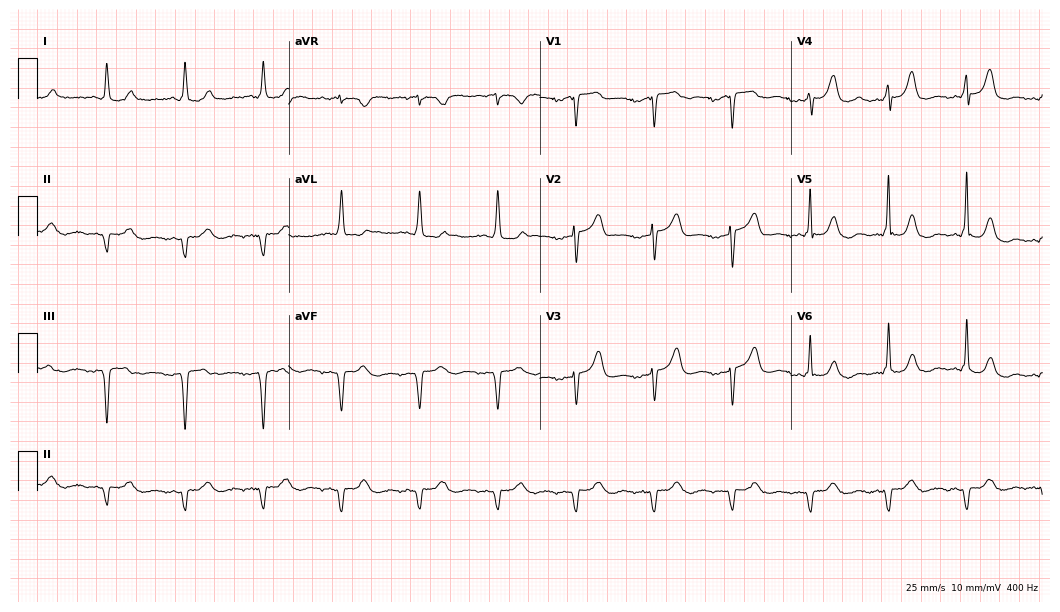
Electrocardiogram, an 84-year-old male patient. Of the six screened findings (first-degree AV block, right bundle branch block, left bundle branch block, sinus bradycardia, atrial fibrillation, sinus tachycardia), none is recorded. Findings outside these six are not listed.